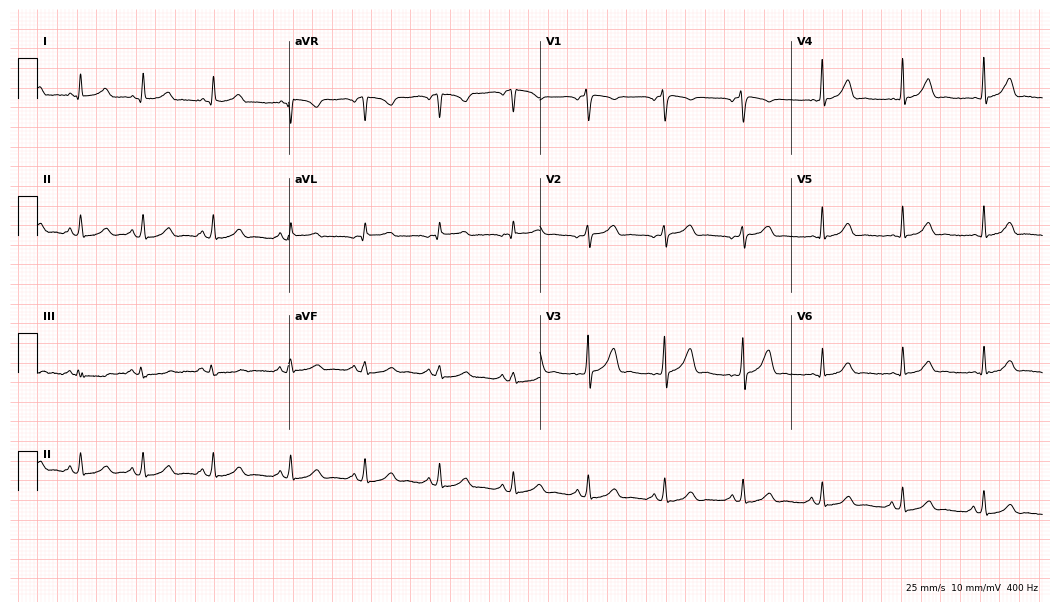
12-lead ECG from an 18-year-old female. Screened for six findings — first-degree AV block, right bundle branch block, left bundle branch block, sinus bradycardia, atrial fibrillation, sinus tachycardia — none is recorded. Only these six findings were labelled.